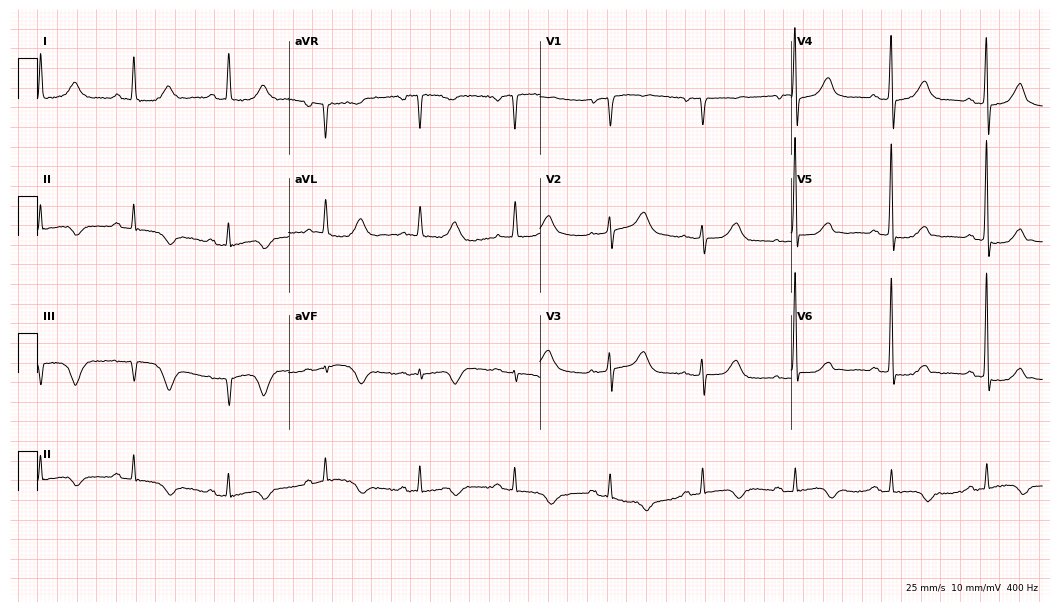
ECG (10.2-second recording at 400 Hz) — a 78-year-old female. Screened for six findings — first-degree AV block, right bundle branch block (RBBB), left bundle branch block (LBBB), sinus bradycardia, atrial fibrillation (AF), sinus tachycardia — none is recorded.